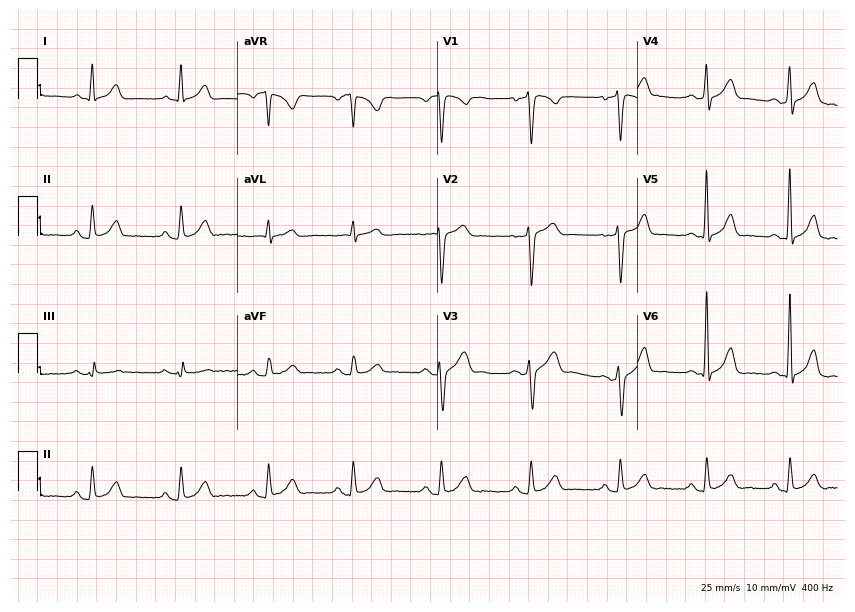
Electrocardiogram, a 42-year-old male. Overall reading on record: normal ECG.